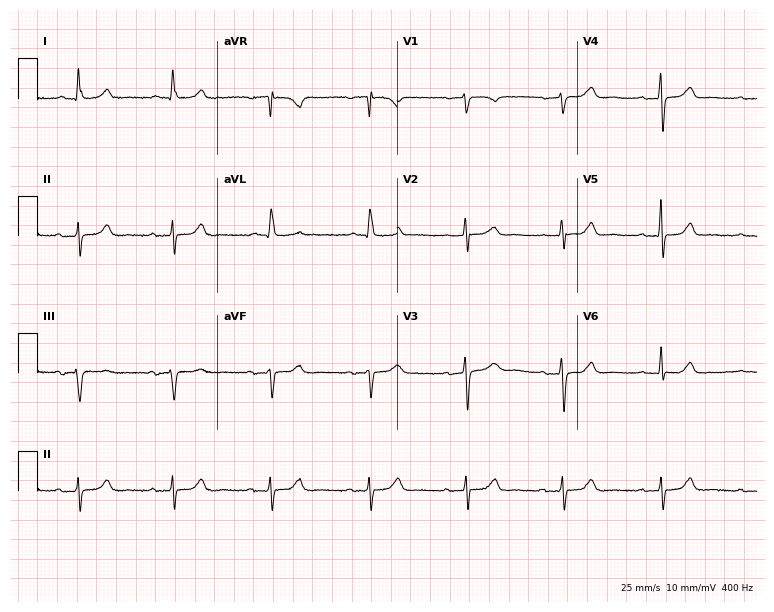
12-lead ECG from a 78-year-old female. Screened for six findings — first-degree AV block, right bundle branch block, left bundle branch block, sinus bradycardia, atrial fibrillation, sinus tachycardia — none is recorded.